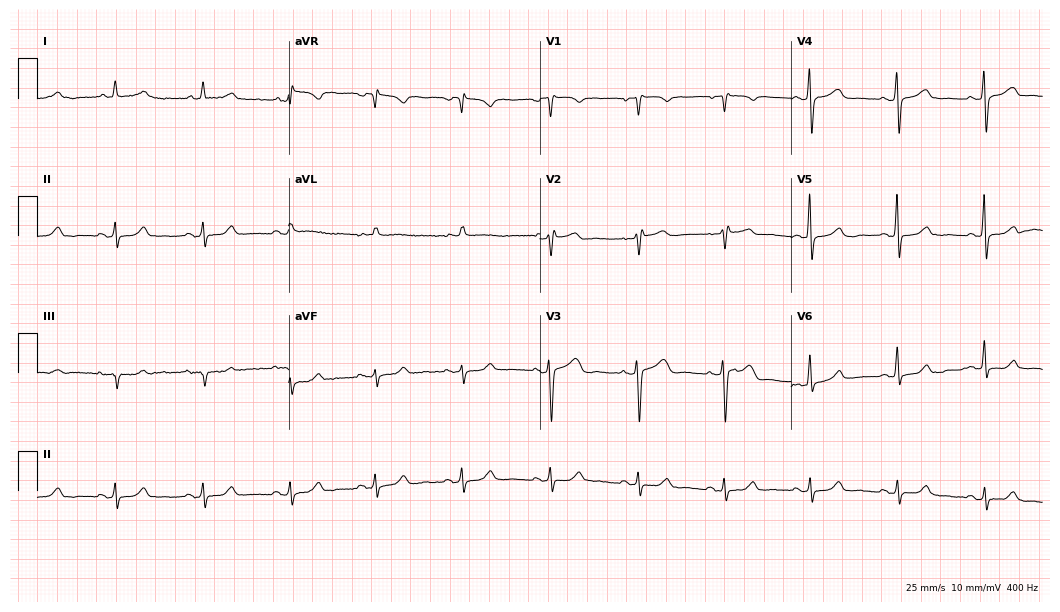
Standard 12-lead ECG recorded from a female patient, 50 years old. Read as a normal ECG.